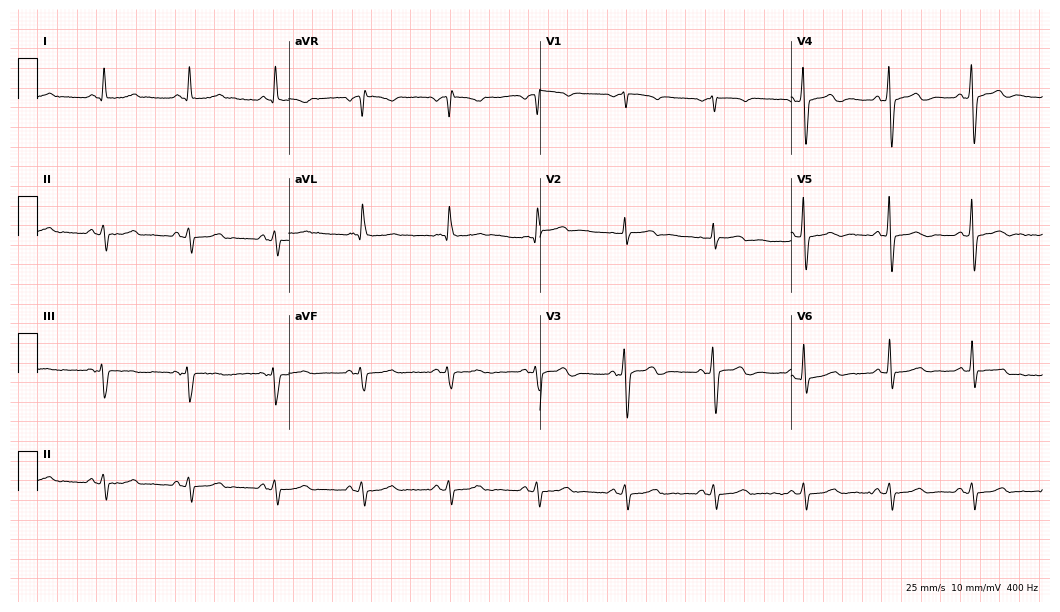
12-lead ECG (10.2-second recording at 400 Hz) from a 68-year-old male. Screened for six findings — first-degree AV block, right bundle branch block (RBBB), left bundle branch block (LBBB), sinus bradycardia, atrial fibrillation (AF), sinus tachycardia — none is recorded.